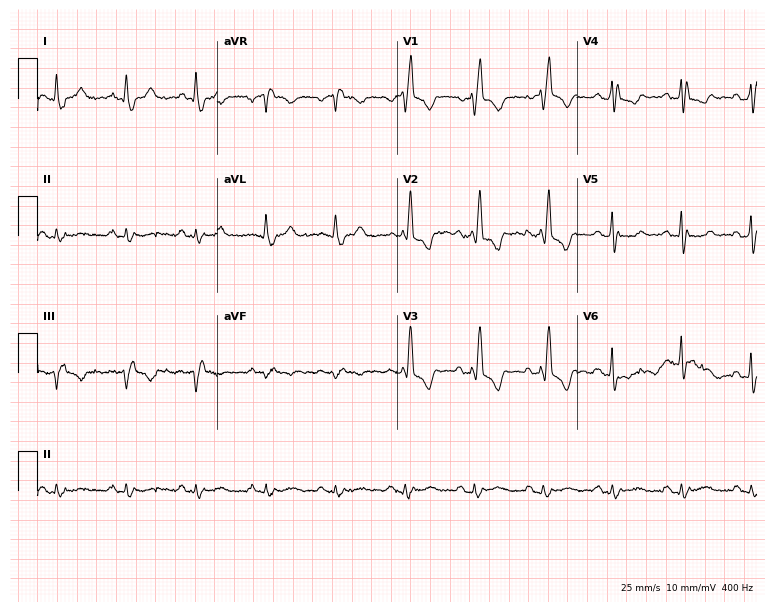
ECG (7.3-second recording at 400 Hz) — a 77-year-old female. Findings include right bundle branch block.